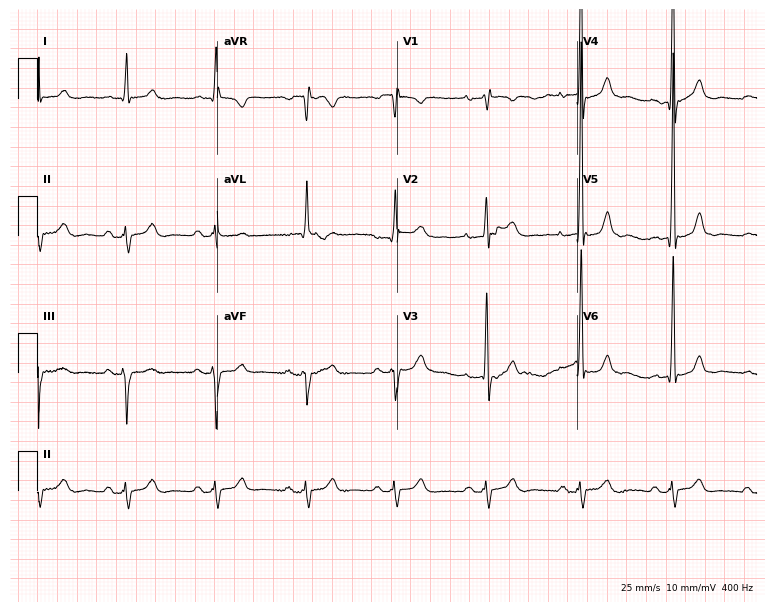
Electrocardiogram, an 80-year-old male. Of the six screened findings (first-degree AV block, right bundle branch block, left bundle branch block, sinus bradycardia, atrial fibrillation, sinus tachycardia), none is recorded. Findings outside these six are not listed.